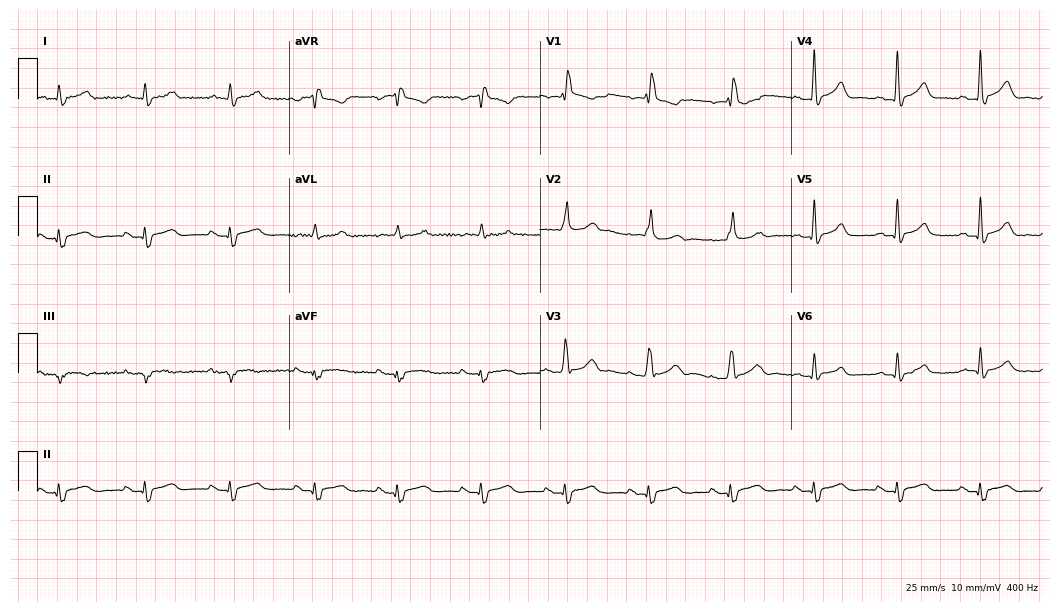
ECG — a 47-year-old male patient. Screened for six findings — first-degree AV block, right bundle branch block (RBBB), left bundle branch block (LBBB), sinus bradycardia, atrial fibrillation (AF), sinus tachycardia — none is recorded. Only these six findings were labelled.